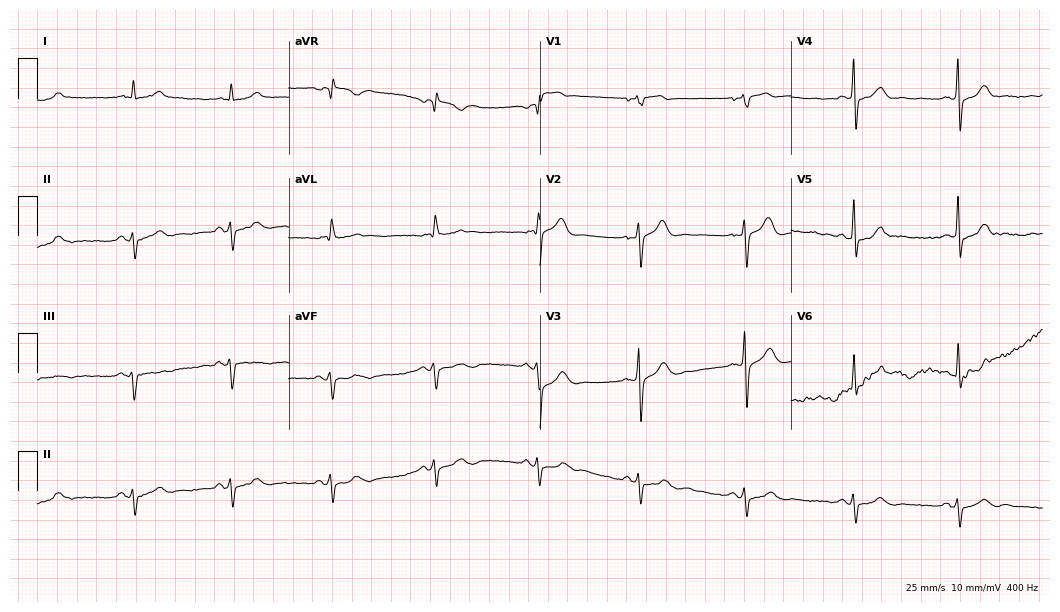
ECG (10.2-second recording at 400 Hz) — a male patient, 61 years old. Screened for six findings — first-degree AV block, right bundle branch block (RBBB), left bundle branch block (LBBB), sinus bradycardia, atrial fibrillation (AF), sinus tachycardia — none is recorded.